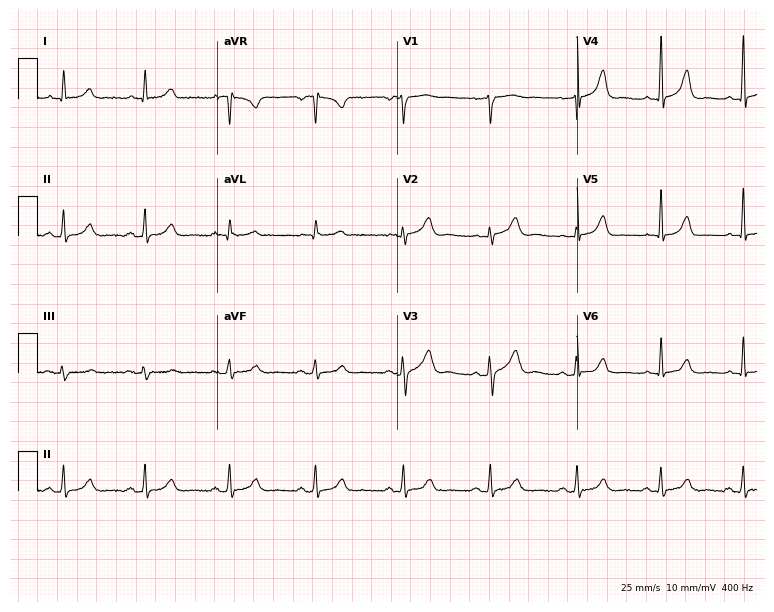
Electrocardiogram, a 49-year-old woman. Of the six screened findings (first-degree AV block, right bundle branch block (RBBB), left bundle branch block (LBBB), sinus bradycardia, atrial fibrillation (AF), sinus tachycardia), none is recorded. Findings outside these six are not listed.